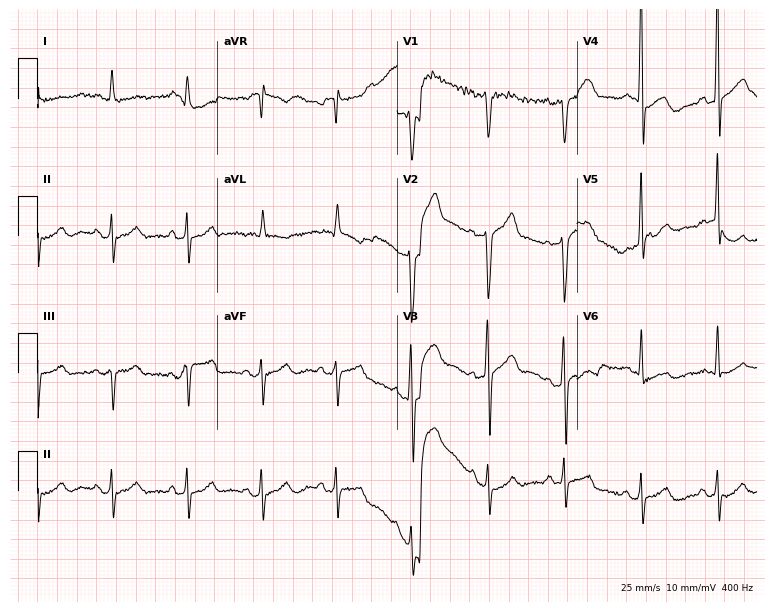
12-lead ECG from a man, 64 years old. No first-degree AV block, right bundle branch block, left bundle branch block, sinus bradycardia, atrial fibrillation or sinus tachycardia recorded for this tracing.